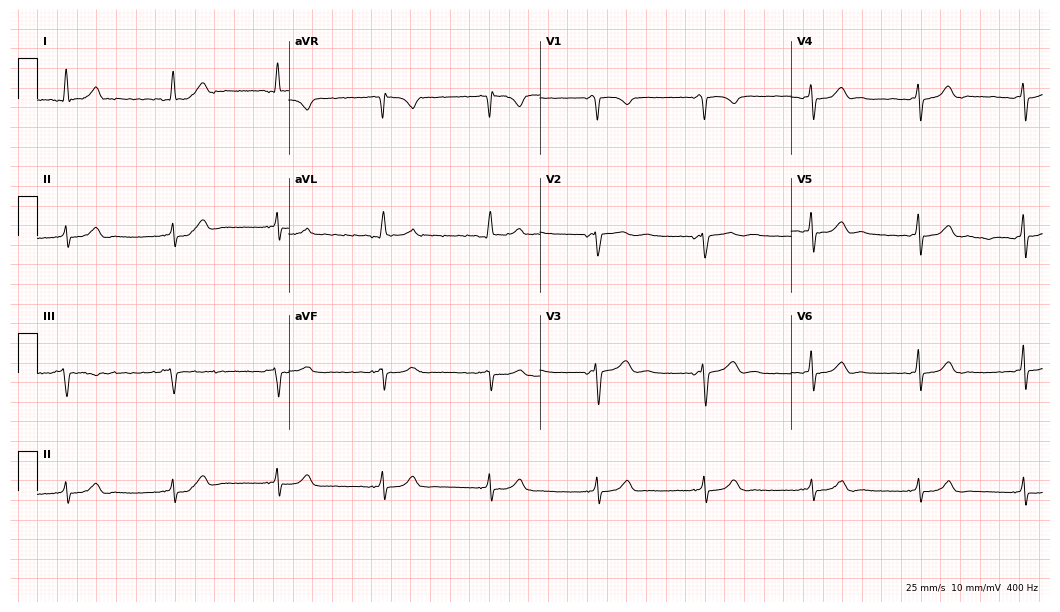
Resting 12-lead electrocardiogram. Patient: a 36-year-old female. Read as a normal ECG.